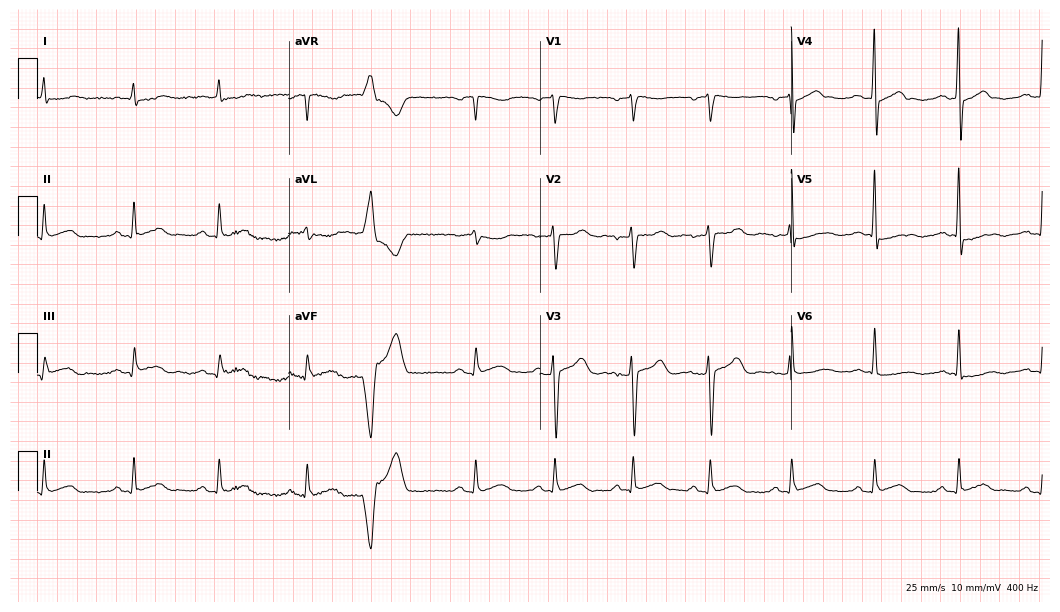
Resting 12-lead electrocardiogram (10.2-second recording at 400 Hz). Patient: a male, 39 years old. None of these six findings is recorded: first-degree AV block, right bundle branch block, left bundle branch block, sinus bradycardia, atrial fibrillation, sinus tachycardia. Other findings, if any, are not listed.